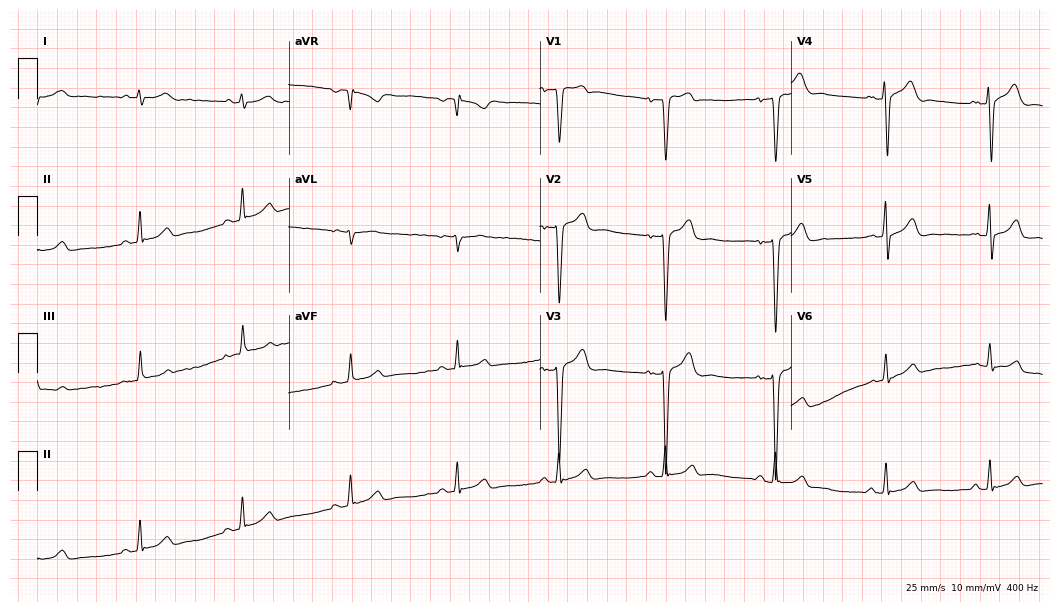
12-lead ECG from a 31-year-old male patient (10.2-second recording at 400 Hz). No first-degree AV block, right bundle branch block (RBBB), left bundle branch block (LBBB), sinus bradycardia, atrial fibrillation (AF) or sinus tachycardia recorded for this tracing. Findings outside these six are not listed.